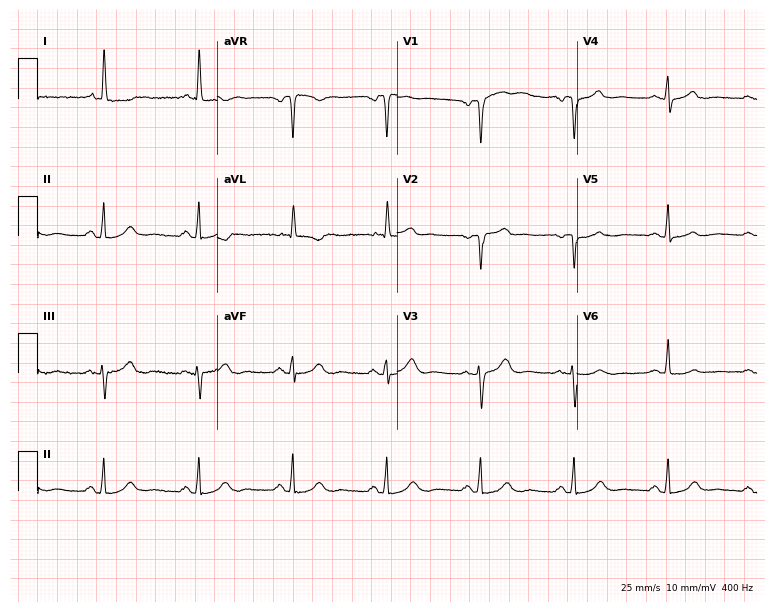
Electrocardiogram (7.3-second recording at 400 Hz), a 72-year-old female patient. Of the six screened findings (first-degree AV block, right bundle branch block, left bundle branch block, sinus bradycardia, atrial fibrillation, sinus tachycardia), none is recorded. Other findings, if any, are not listed.